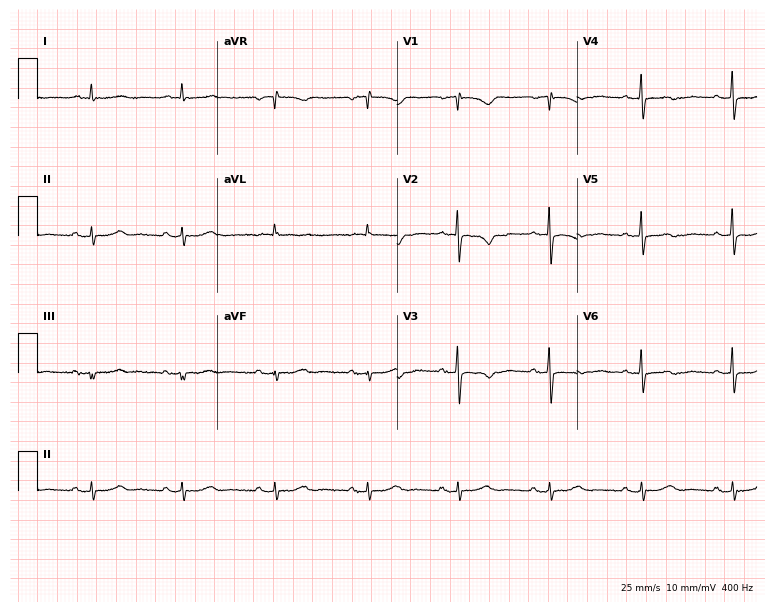
12-lead ECG (7.3-second recording at 400 Hz) from a 59-year-old female. Screened for six findings — first-degree AV block, right bundle branch block, left bundle branch block, sinus bradycardia, atrial fibrillation, sinus tachycardia — none is recorded.